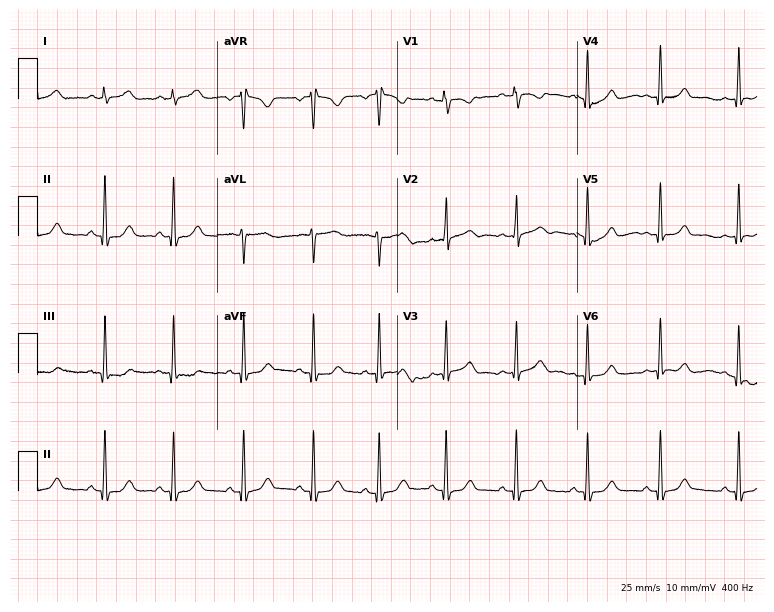
12-lead ECG (7.3-second recording at 400 Hz) from a 21-year-old woman. Labelled as a normal ECG.